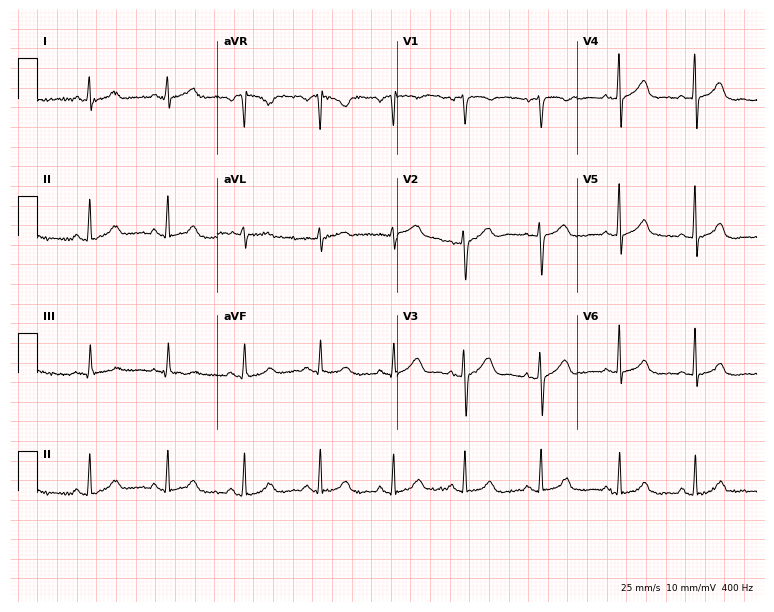
ECG (7.3-second recording at 400 Hz) — a female patient, 39 years old. Labelled as a normal ECG.